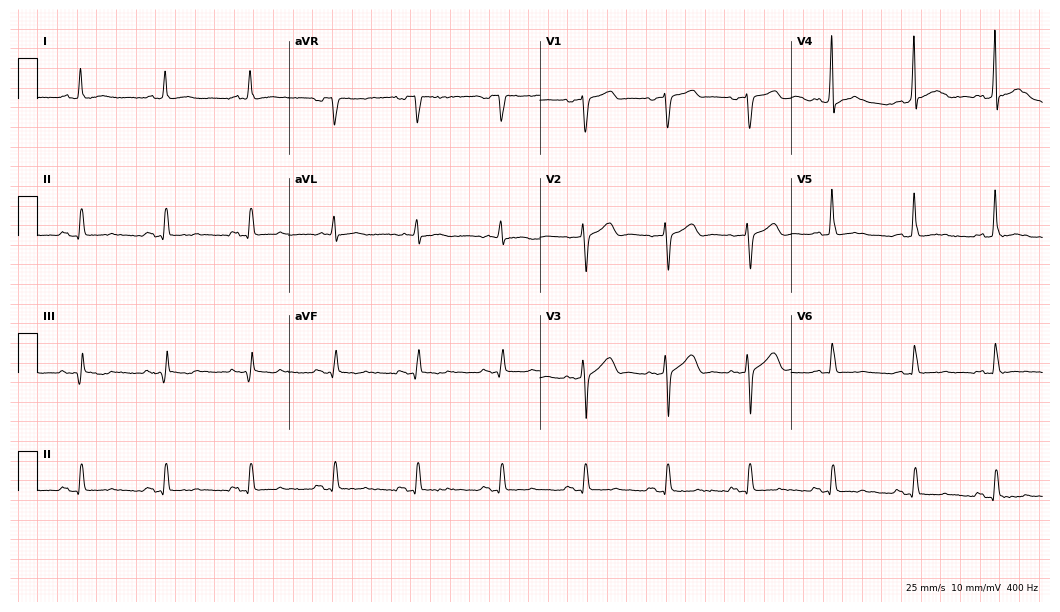
Standard 12-lead ECG recorded from a male, 54 years old (10.2-second recording at 400 Hz). None of these six findings is recorded: first-degree AV block, right bundle branch block (RBBB), left bundle branch block (LBBB), sinus bradycardia, atrial fibrillation (AF), sinus tachycardia.